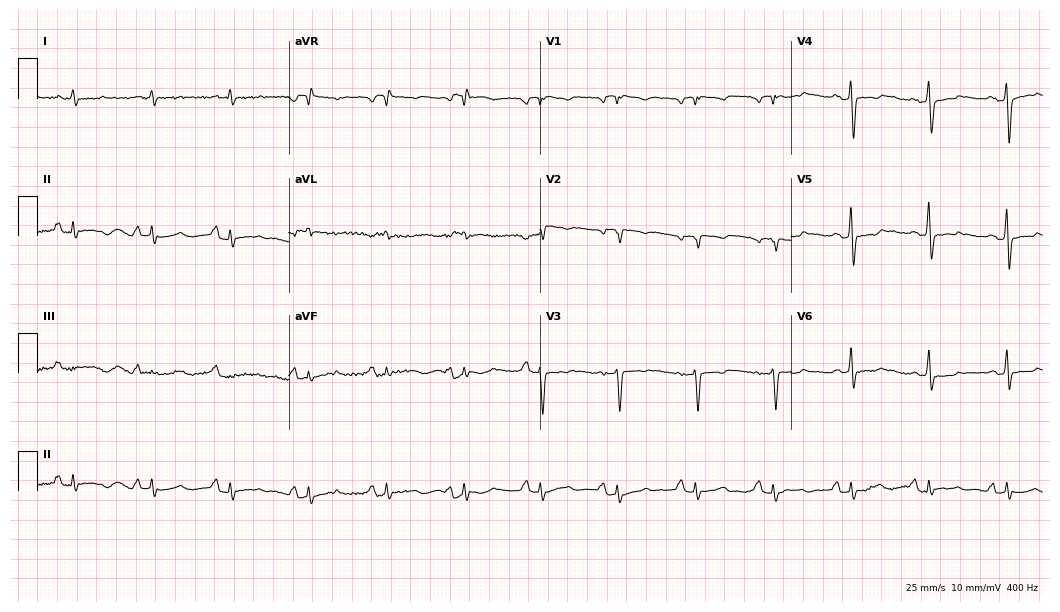
12-lead ECG from a 67-year-old man (10.2-second recording at 400 Hz). No first-degree AV block, right bundle branch block (RBBB), left bundle branch block (LBBB), sinus bradycardia, atrial fibrillation (AF) or sinus tachycardia recorded for this tracing.